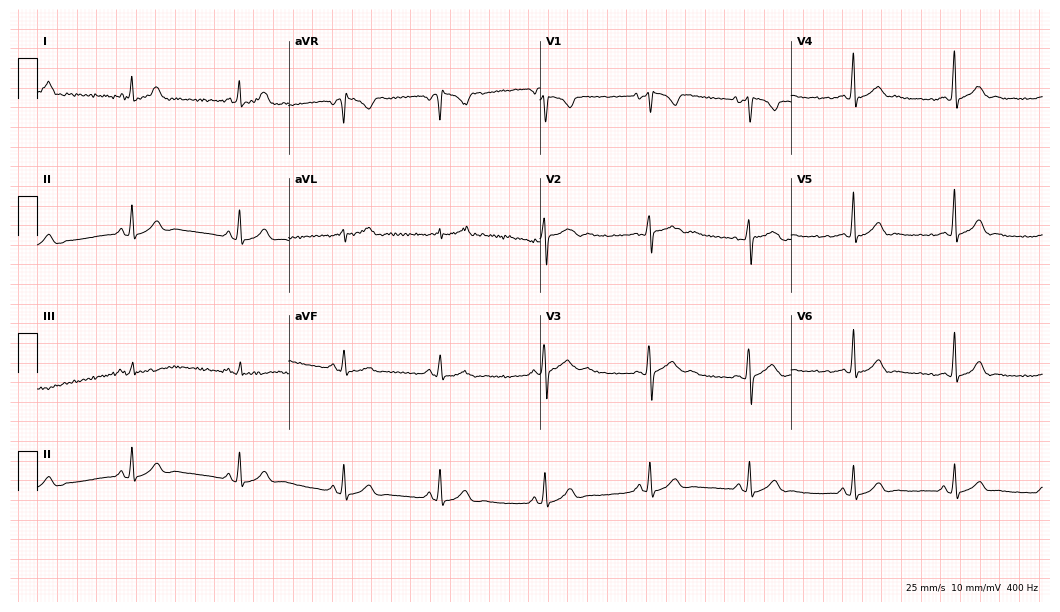
12-lead ECG from a female, 25 years old. No first-degree AV block, right bundle branch block, left bundle branch block, sinus bradycardia, atrial fibrillation or sinus tachycardia recorded for this tracing. Findings outside these six are not listed.